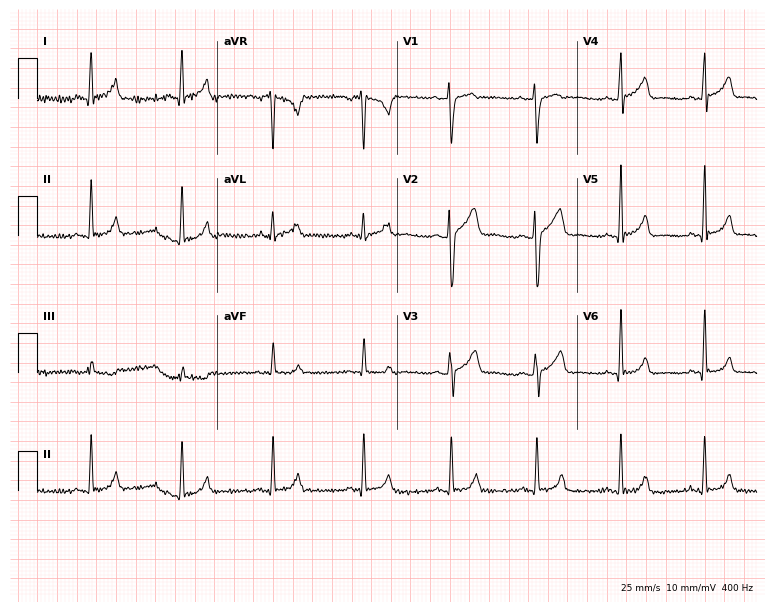
Electrocardiogram, a 27-year-old man. Overall reading on record: normal ECG.